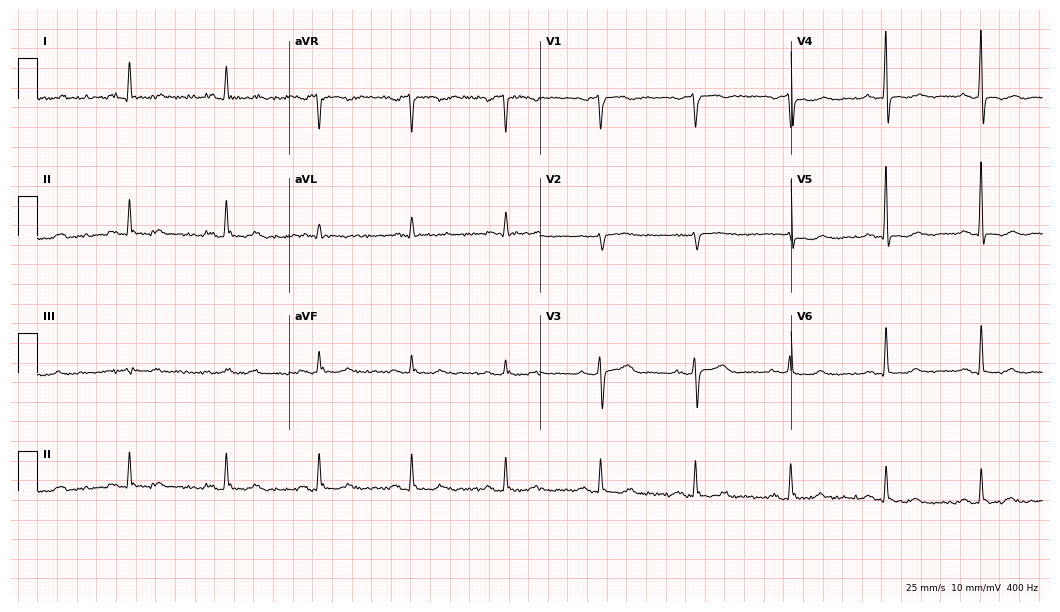
ECG (10.2-second recording at 400 Hz) — a female, 64 years old. Labelled as a normal ECG.